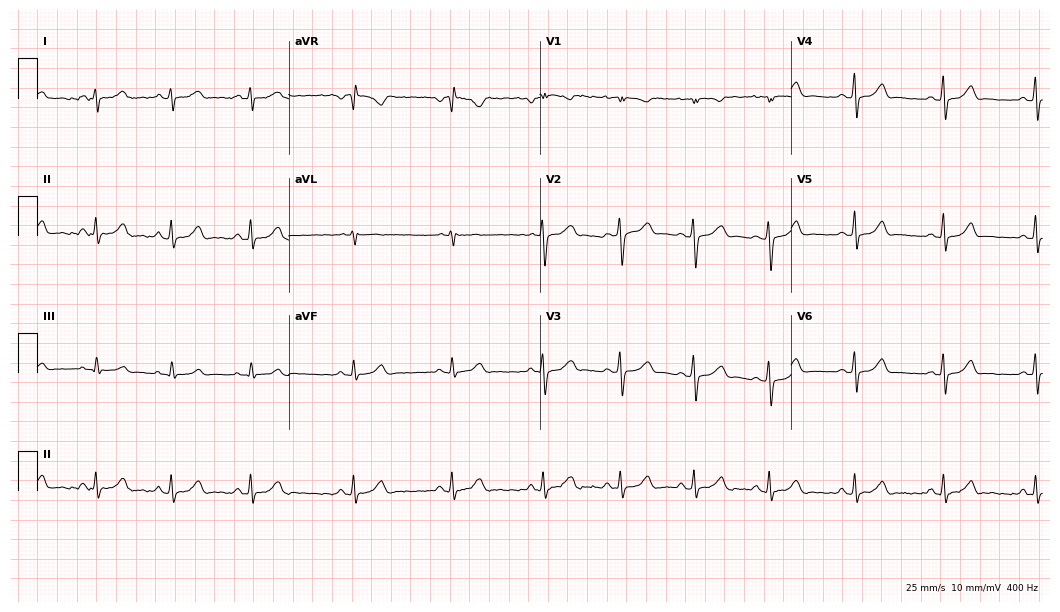
ECG — a woman, 17 years old. Labelled as a normal ECG.